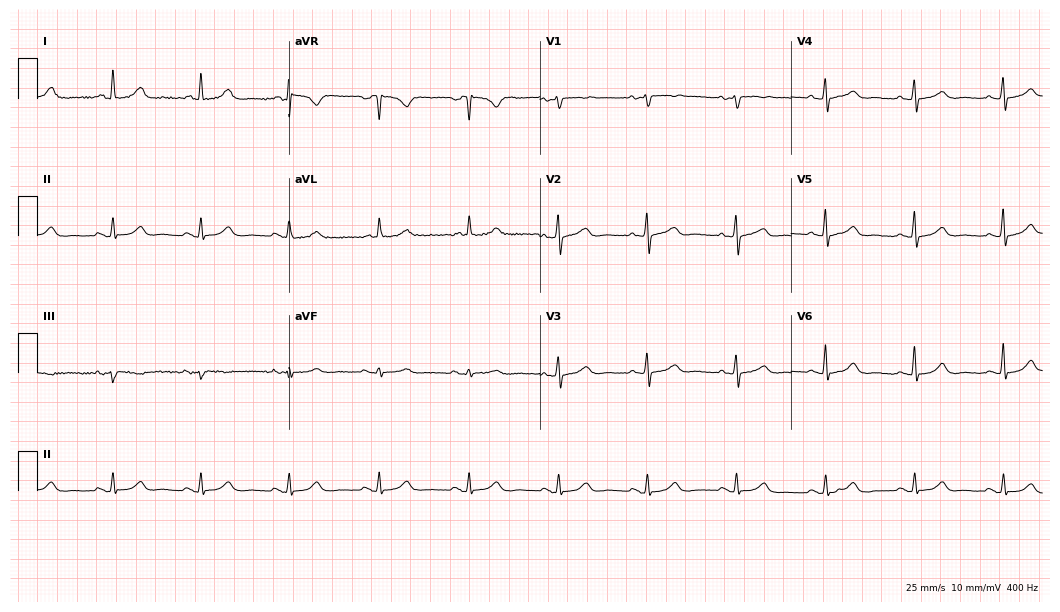
12-lead ECG from a 74-year-old woman. Recorded interpretation: within normal limits.